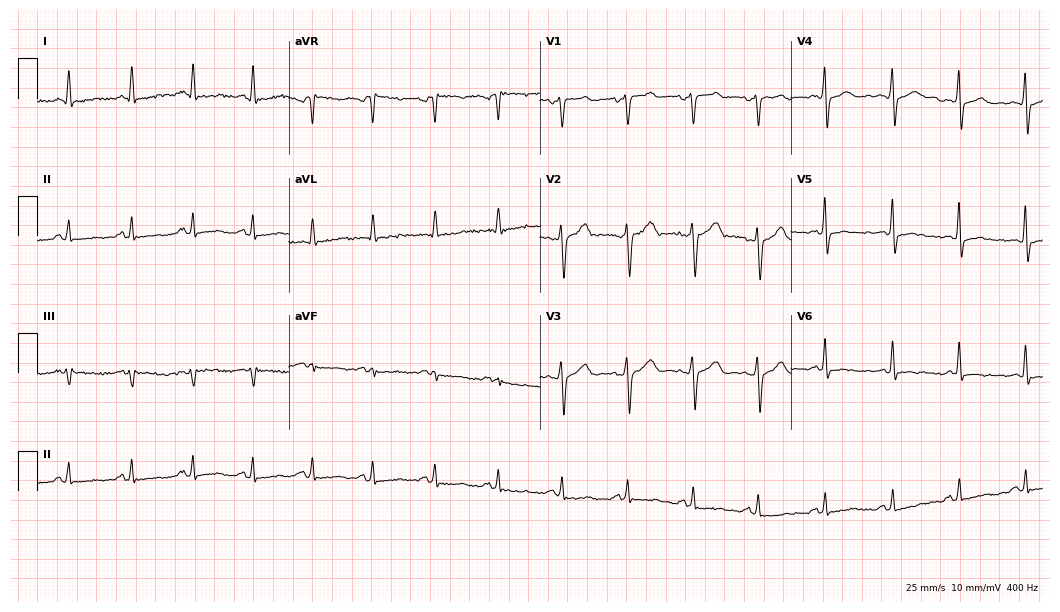
Electrocardiogram (10.2-second recording at 400 Hz), a 47-year-old male. Of the six screened findings (first-degree AV block, right bundle branch block, left bundle branch block, sinus bradycardia, atrial fibrillation, sinus tachycardia), none is recorded.